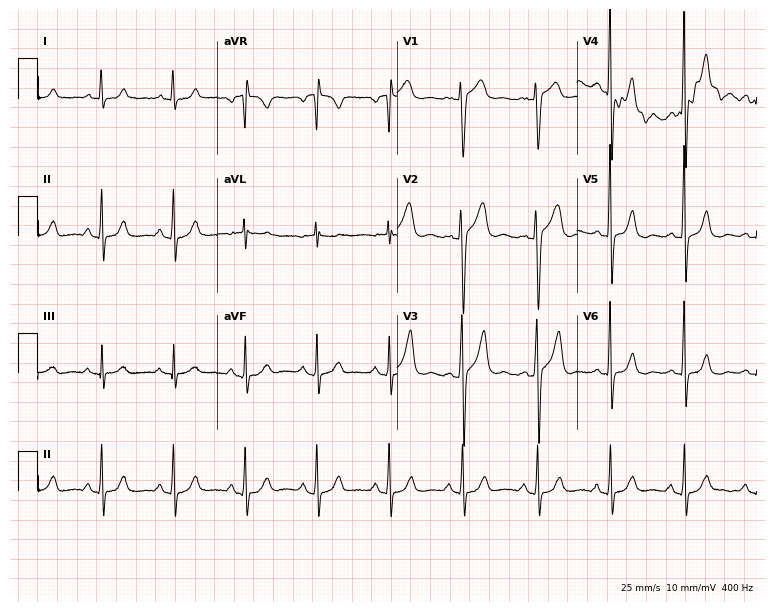
12-lead ECG (7.3-second recording at 400 Hz) from a 67-year-old female patient. Labelled as a normal ECG.